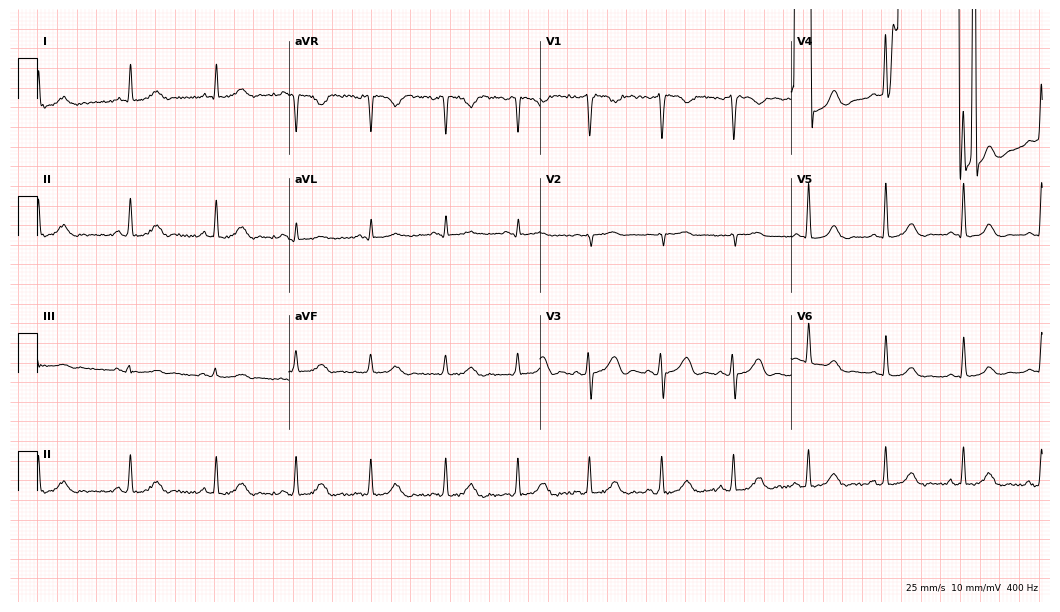
Electrocardiogram, a 48-year-old female patient. Of the six screened findings (first-degree AV block, right bundle branch block, left bundle branch block, sinus bradycardia, atrial fibrillation, sinus tachycardia), none is recorded.